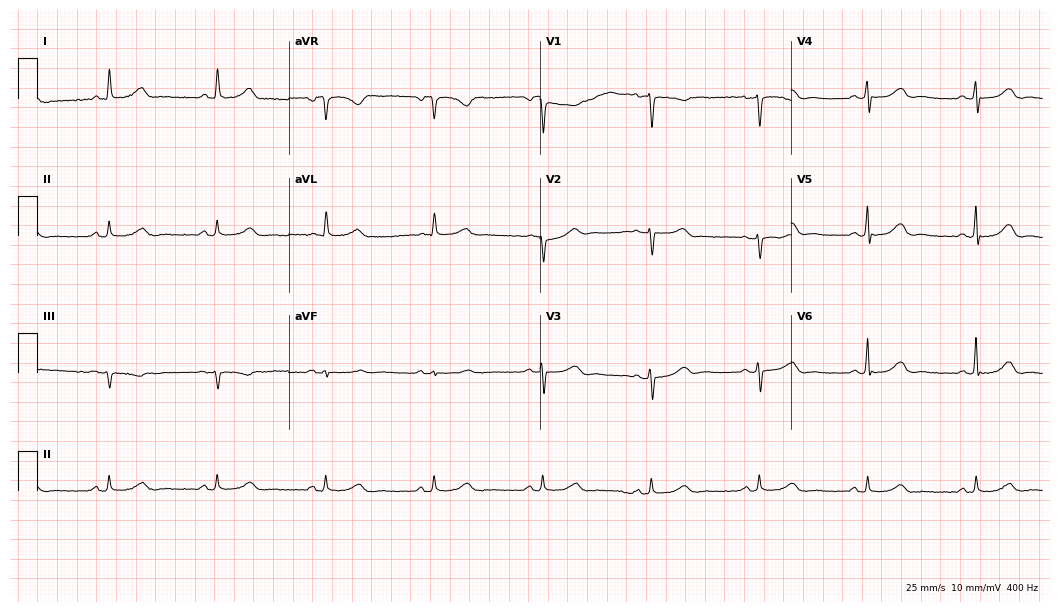
Standard 12-lead ECG recorded from a woman, 78 years old. None of these six findings is recorded: first-degree AV block, right bundle branch block, left bundle branch block, sinus bradycardia, atrial fibrillation, sinus tachycardia.